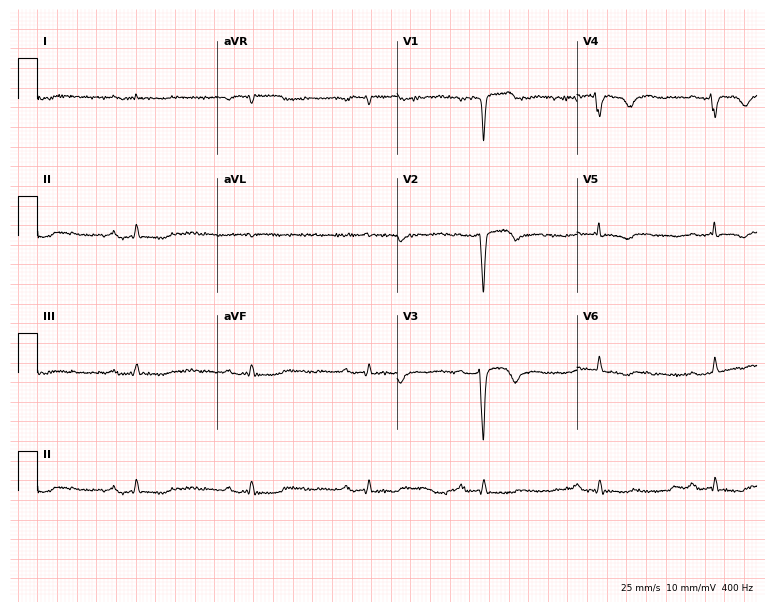
12-lead ECG from a male patient, 80 years old. Screened for six findings — first-degree AV block, right bundle branch block (RBBB), left bundle branch block (LBBB), sinus bradycardia, atrial fibrillation (AF), sinus tachycardia — none is recorded. Only these six findings were labelled.